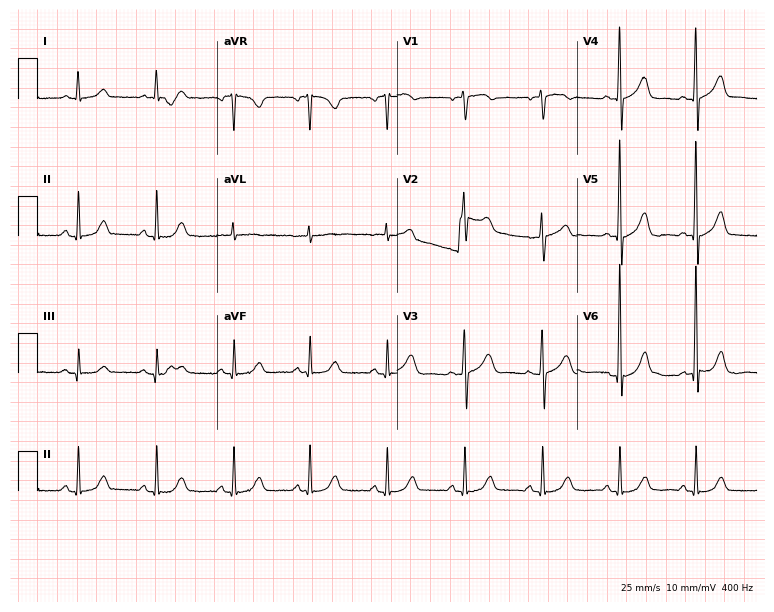
Resting 12-lead electrocardiogram (7.3-second recording at 400 Hz). Patient: a 60-year-old man. Read as a normal ECG.